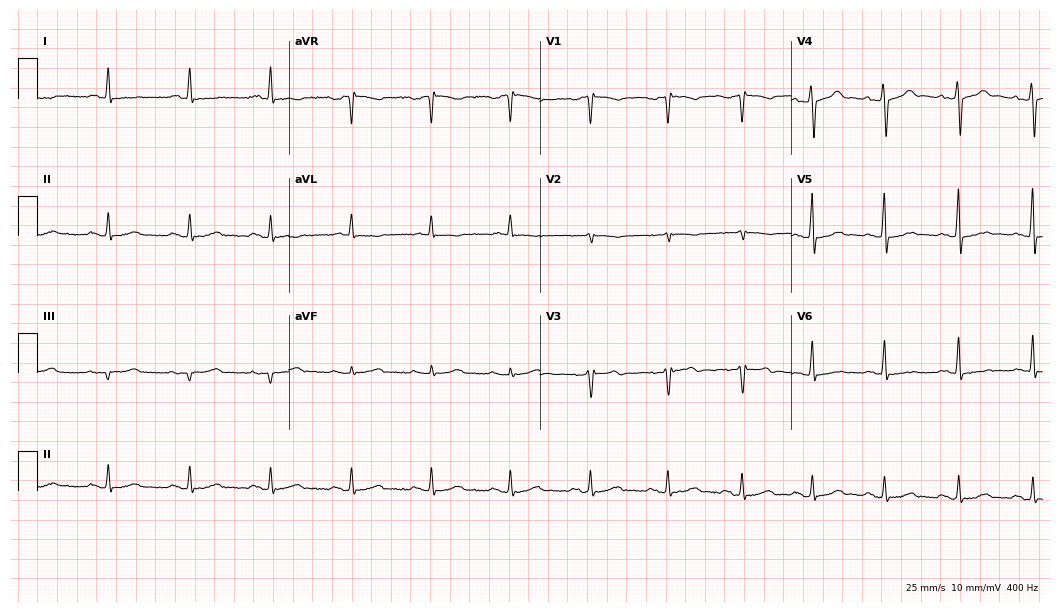
12-lead ECG (10.2-second recording at 400 Hz) from a male patient, 64 years old. Screened for six findings — first-degree AV block, right bundle branch block, left bundle branch block, sinus bradycardia, atrial fibrillation, sinus tachycardia — none is recorded.